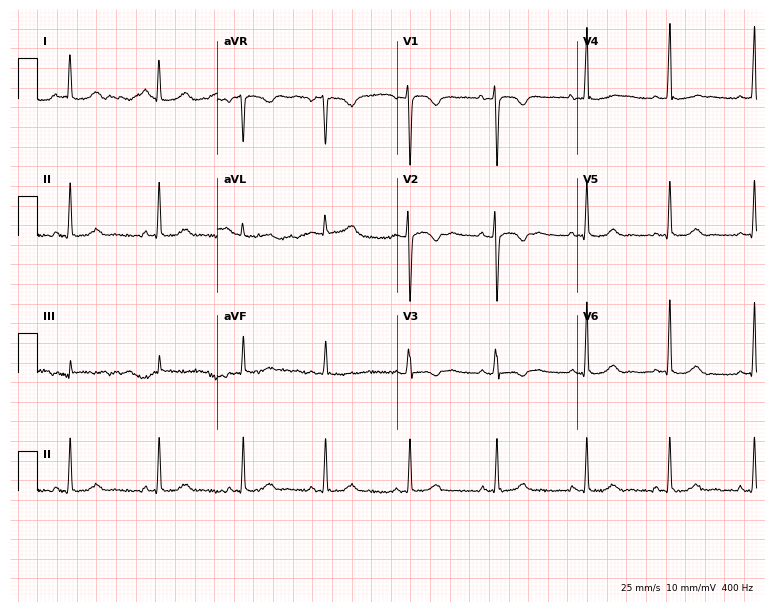
12-lead ECG from a female patient, 27 years old. Screened for six findings — first-degree AV block, right bundle branch block (RBBB), left bundle branch block (LBBB), sinus bradycardia, atrial fibrillation (AF), sinus tachycardia — none is recorded. Other findings, if any, are not listed.